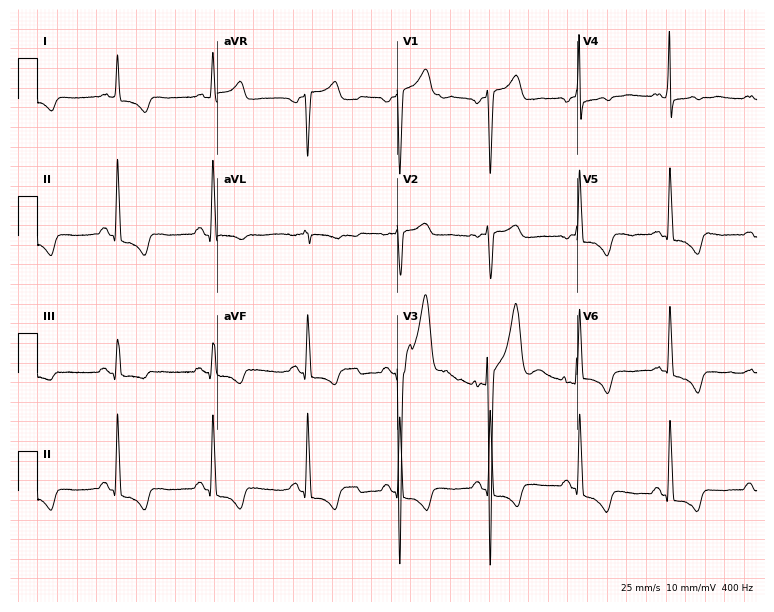
ECG (7.3-second recording at 400 Hz) — a man, 64 years old. Screened for six findings — first-degree AV block, right bundle branch block, left bundle branch block, sinus bradycardia, atrial fibrillation, sinus tachycardia — none is recorded. Other findings, if any, are not listed.